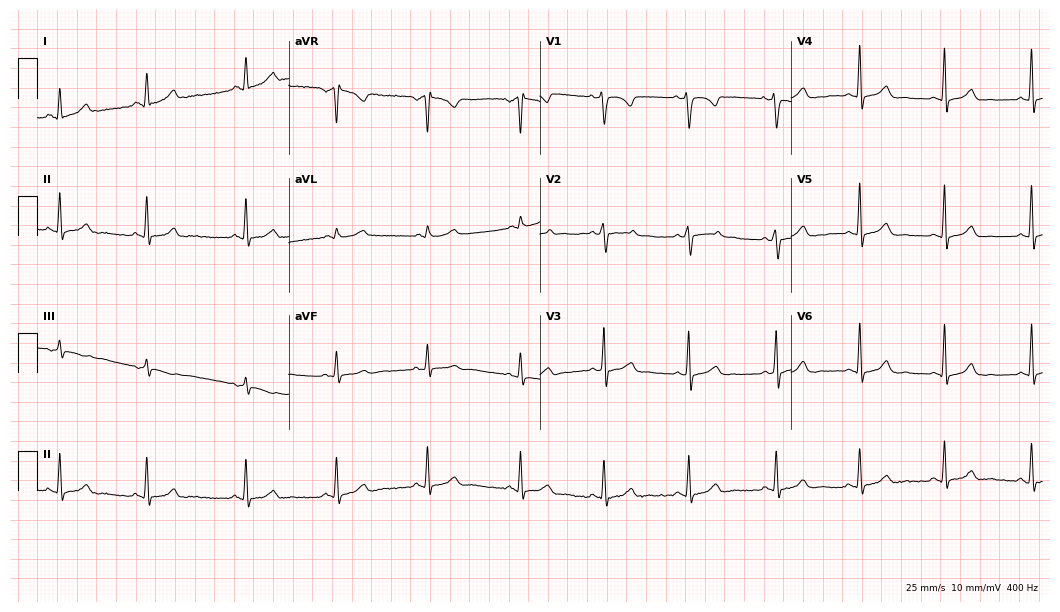
12-lead ECG from a 29-year-old female patient (10.2-second recording at 400 Hz). No first-degree AV block, right bundle branch block, left bundle branch block, sinus bradycardia, atrial fibrillation or sinus tachycardia recorded for this tracing.